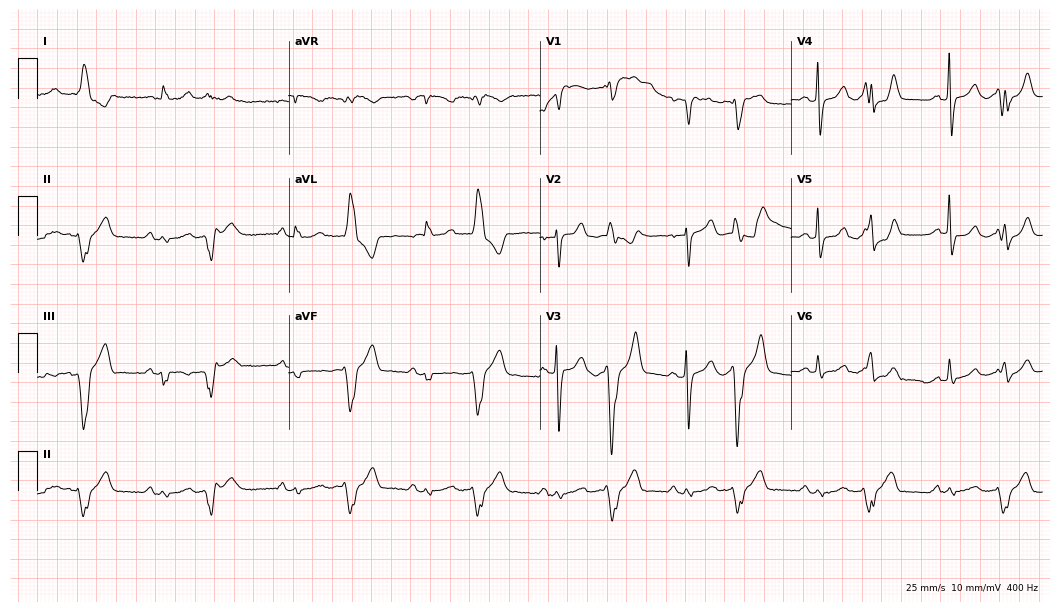
ECG (10.2-second recording at 400 Hz) — a man, 82 years old. Screened for six findings — first-degree AV block, right bundle branch block, left bundle branch block, sinus bradycardia, atrial fibrillation, sinus tachycardia — none is recorded. Findings outside these six are not listed.